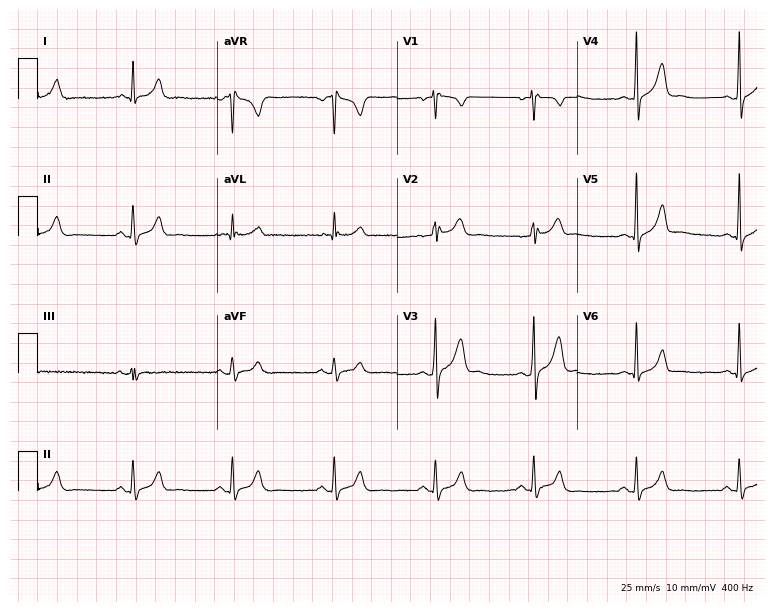
12-lead ECG from a 26-year-old man. Recorded interpretation: within normal limits.